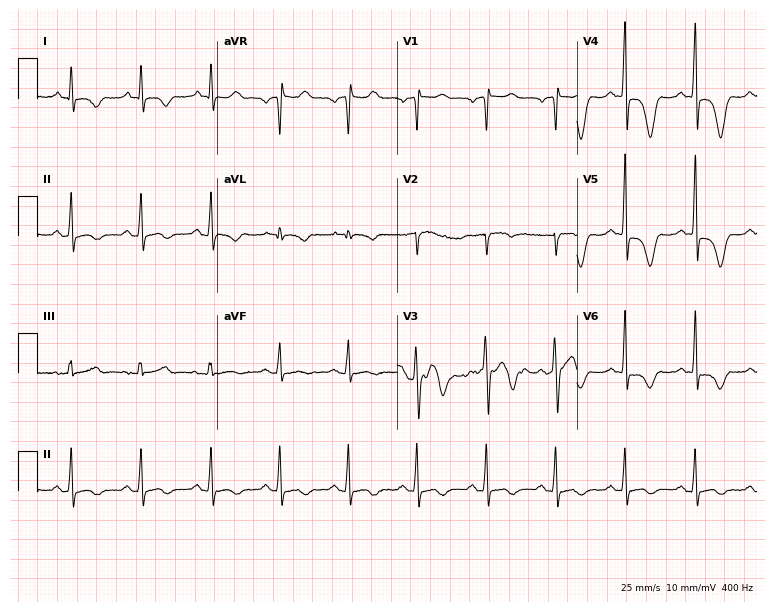
12-lead ECG (7.3-second recording at 400 Hz) from a 52-year-old male patient. Screened for six findings — first-degree AV block, right bundle branch block, left bundle branch block, sinus bradycardia, atrial fibrillation, sinus tachycardia — none is recorded. Other findings, if any, are not listed.